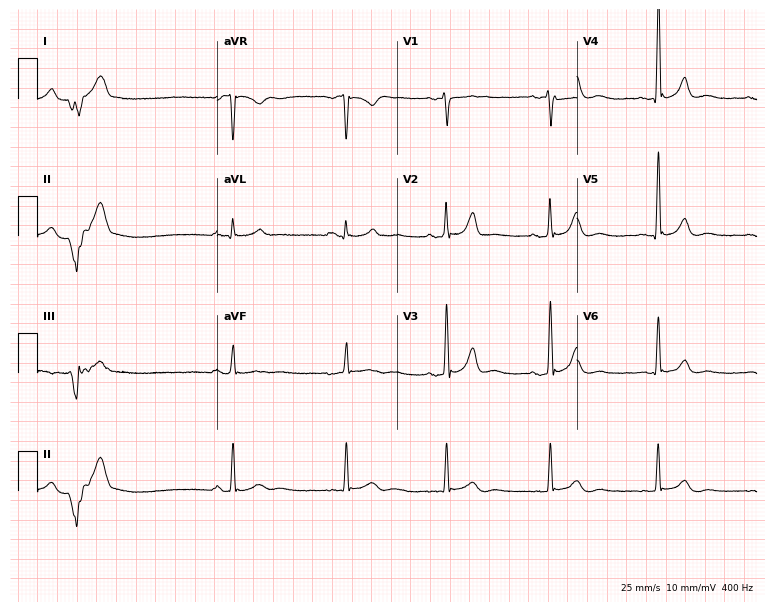
Electrocardiogram, a male, 68 years old. Of the six screened findings (first-degree AV block, right bundle branch block (RBBB), left bundle branch block (LBBB), sinus bradycardia, atrial fibrillation (AF), sinus tachycardia), none is recorded.